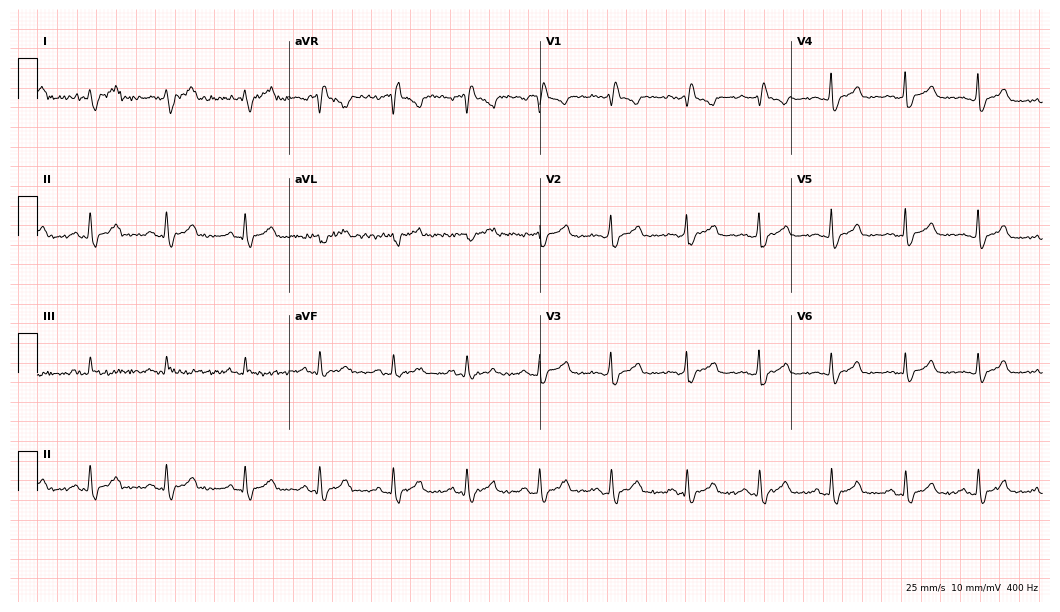
12-lead ECG (10.2-second recording at 400 Hz) from a 38-year-old female patient. Findings include right bundle branch block.